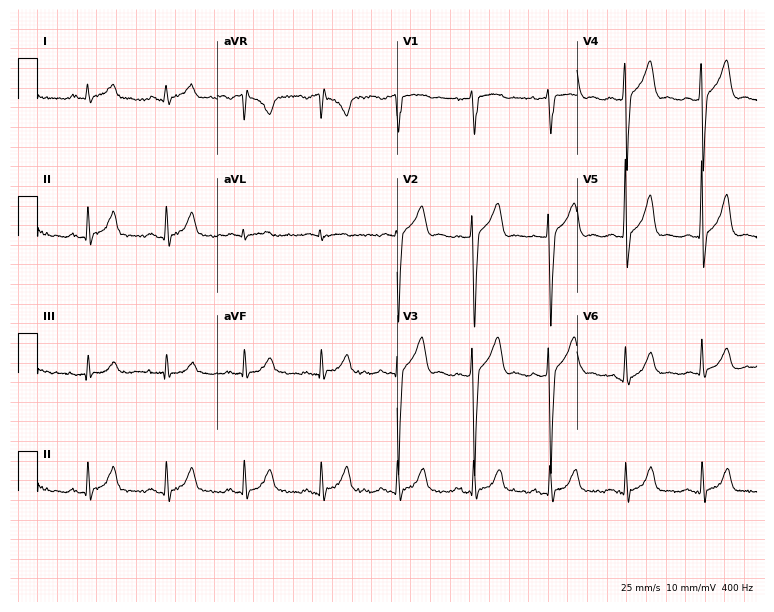
Standard 12-lead ECG recorded from a male patient, 56 years old (7.3-second recording at 400 Hz). None of these six findings is recorded: first-degree AV block, right bundle branch block (RBBB), left bundle branch block (LBBB), sinus bradycardia, atrial fibrillation (AF), sinus tachycardia. Findings outside these six are not listed.